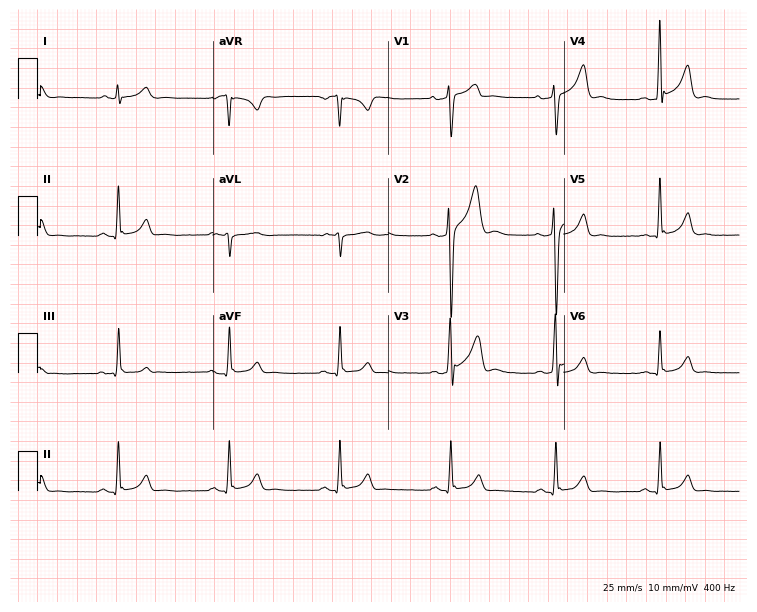
ECG (7.2-second recording at 400 Hz) — a male patient, 45 years old. Screened for six findings — first-degree AV block, right bundle branch block, left bundle branch block, sinus bradycardia, atrial fibrillation, sinus tachycardia — none is recorded. Only these six findings were labelled.